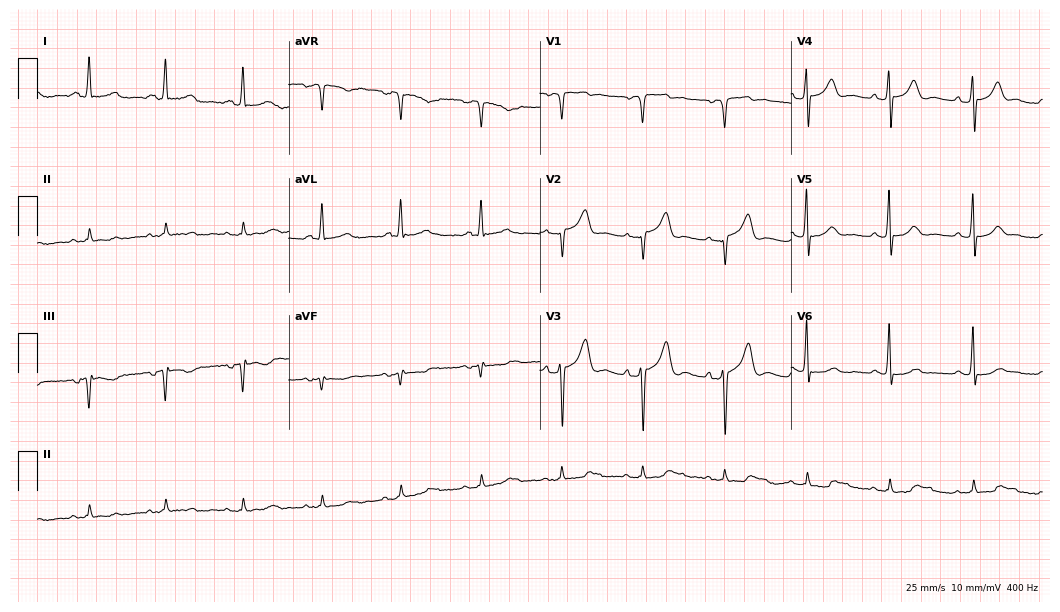
ECG — a man, 60 years old. Screened for six findings — first-degree AV block, right bundle branch block (RBBB), left bundle branch block (LBBB), sinus bradycardia, atrial fibrillation (AF), sinus tachycardia — none is recorded. Findings outside these six are not listed.